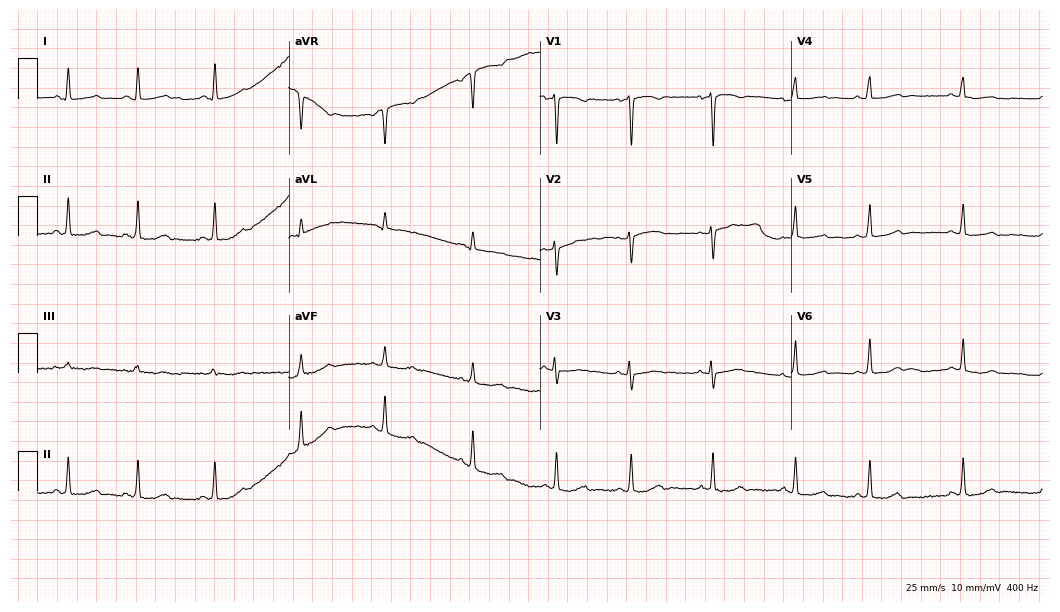
12-lead ECG from a female patient, 24 years old. Labelled as a normal ECG.